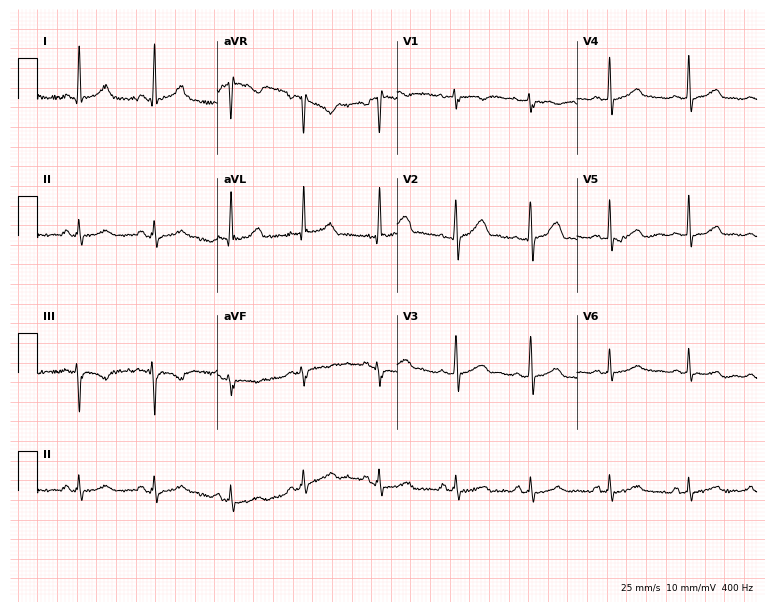
Standard 12-lead ECG recorded from a woman, 32 years old. Read as a normal ECG.